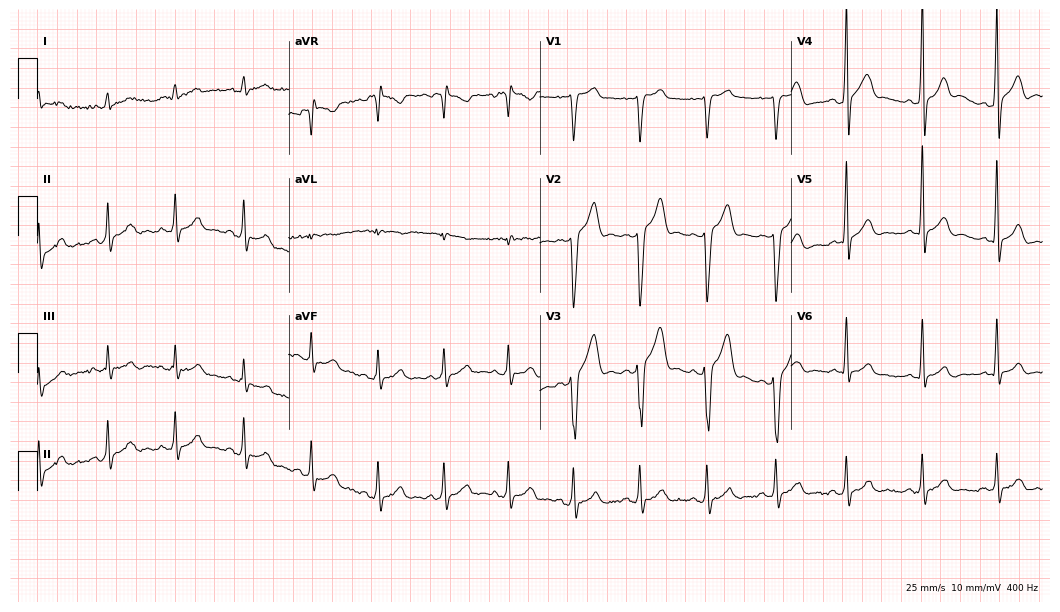
Electrocardiogram (10.2-second recording at 400 Hz), a 22-year-old male. Overall reading on record: normal ECG.